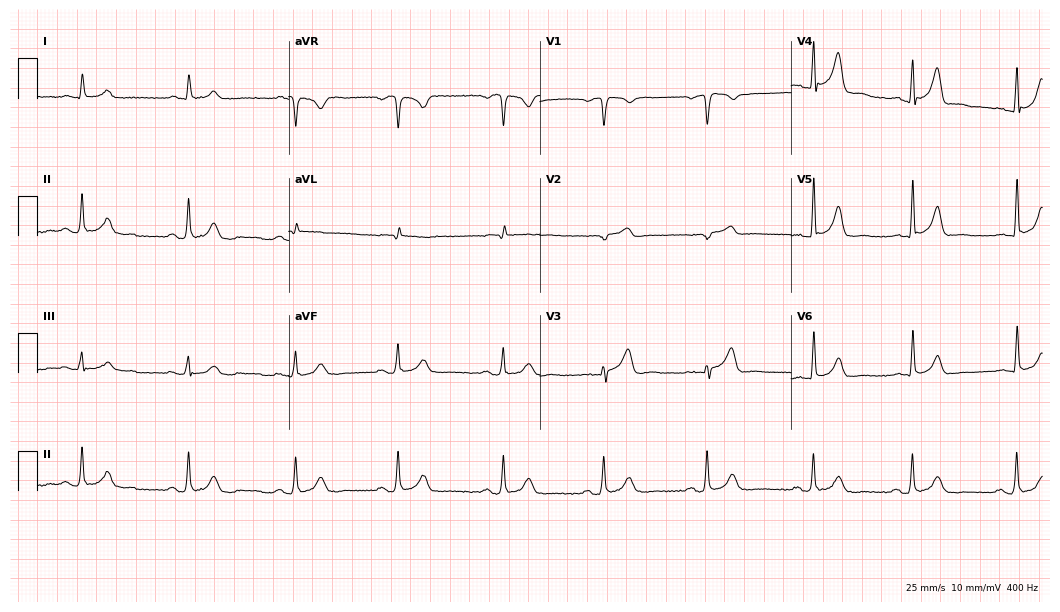
Standard 12-lead ECG recorded from a male patient, 69 years old. None of these six findings is recorded: first-degree AV block, right bundle branch block (RBBB), left bundle branch block (LBBB), sinus bradycardia, atrial fibrillation (AF), sinus tachycardia.